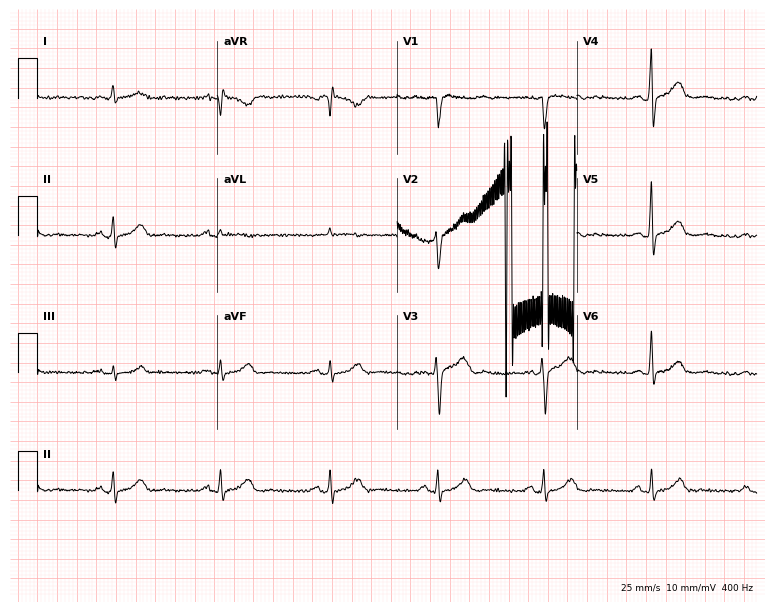
Electrocardiogram, a male, 57 years old. Overall reading on record: normal ECG.